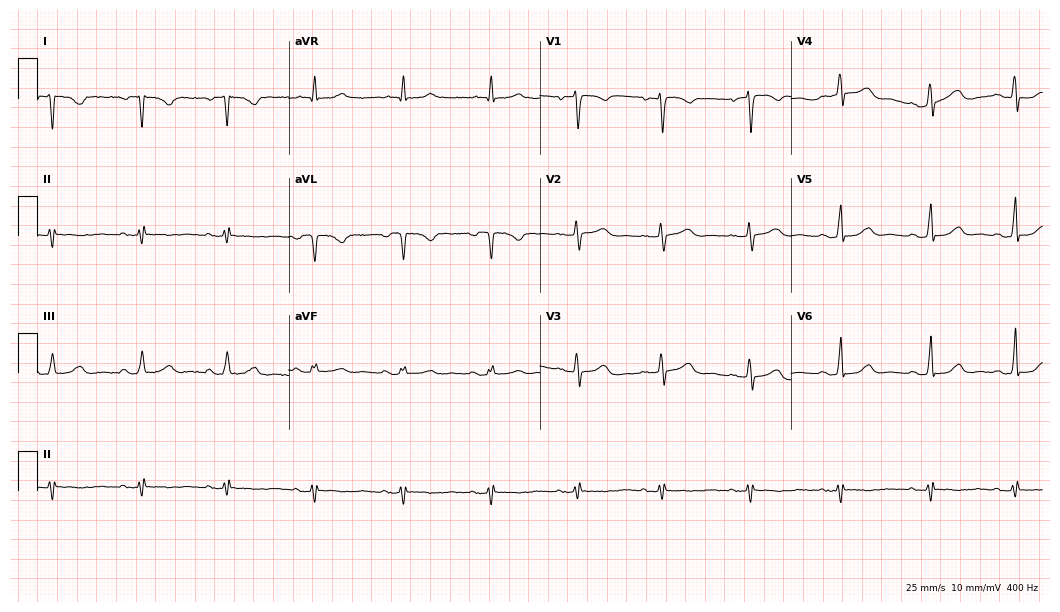
12-lead ECG (10.2-second recording at 400 Hz) from a 45-year-old woman. Screened for six findings — first-degree AV block, right bundle branch block, left bundle branch block, sinus bradycardia, atrial fibrillation, sinus tachycardia — none is recorded.